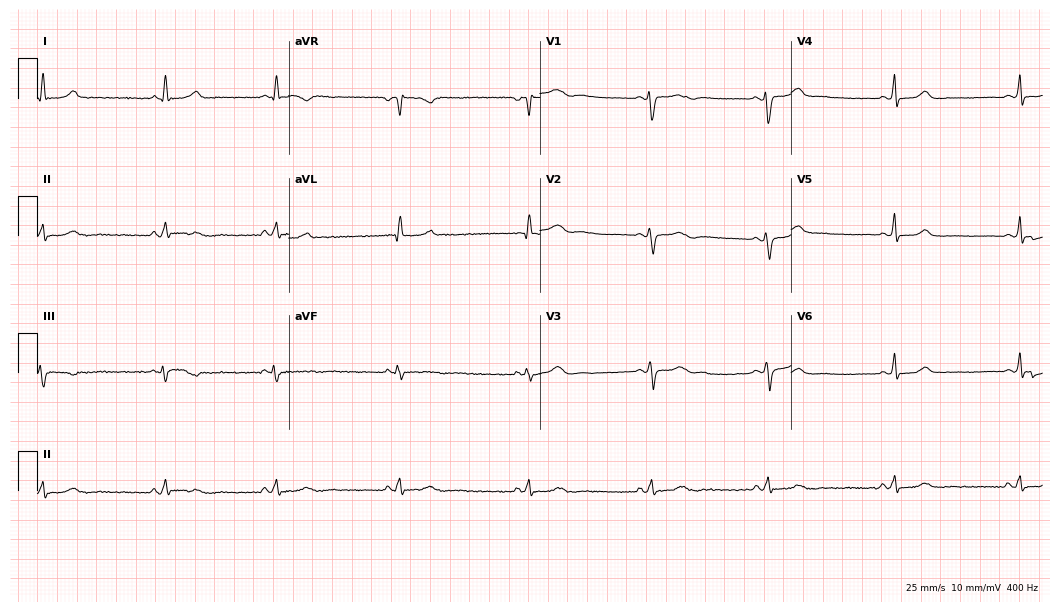
ECG (10.2-second recording at 400 Hz) — a 39-year-old woman. Labelled as a normal ECG.